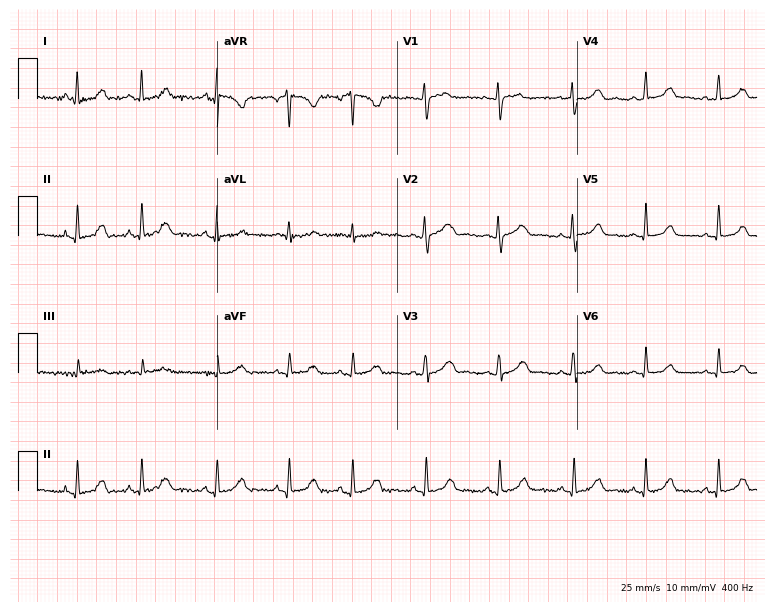
Electrocardiogram (7.3-second recording at 400 Hz), a 33-year-old female patient. Of the six screened findings (first-degree AV block, right bundle branch block, left bundle branch block, sinus bradycardia, atrial fibrillation, sinus tachycardia), none is recorded.